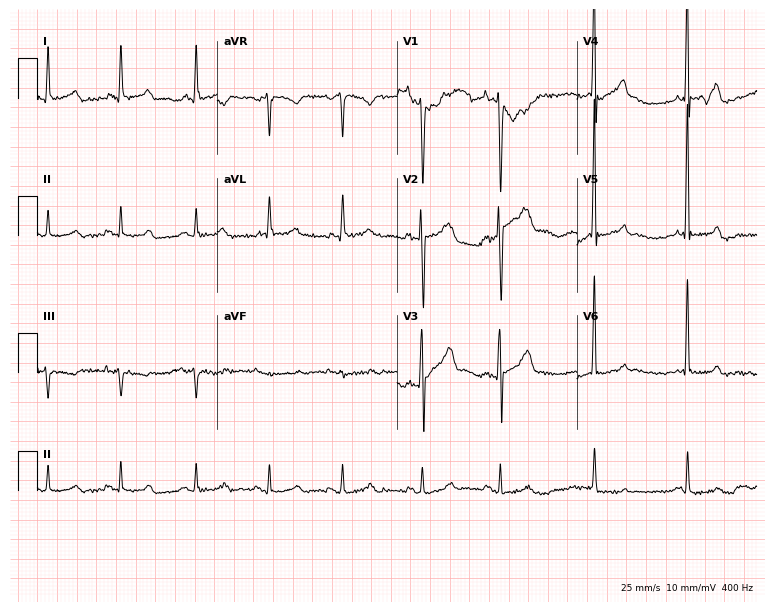
Resting 12-lead electrocardiogram (7.3-second recording at 400 Hz). Patient: a male, 65 years old. None of these six findings is recorded: first-degree AV block, right bundle branch block, left bundle branch block, sinus bradycardia, atrial fibrillation, sinus tachycardia.